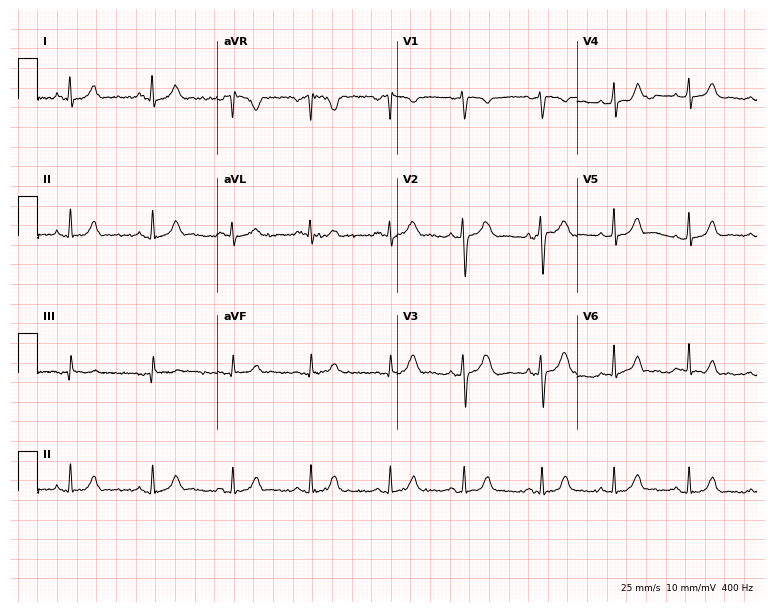
Resting 12-lead electrocardiogram (7.3-second recording at 400 Hz). Patient: a woman, 17 years old. Read as a normal ECG.